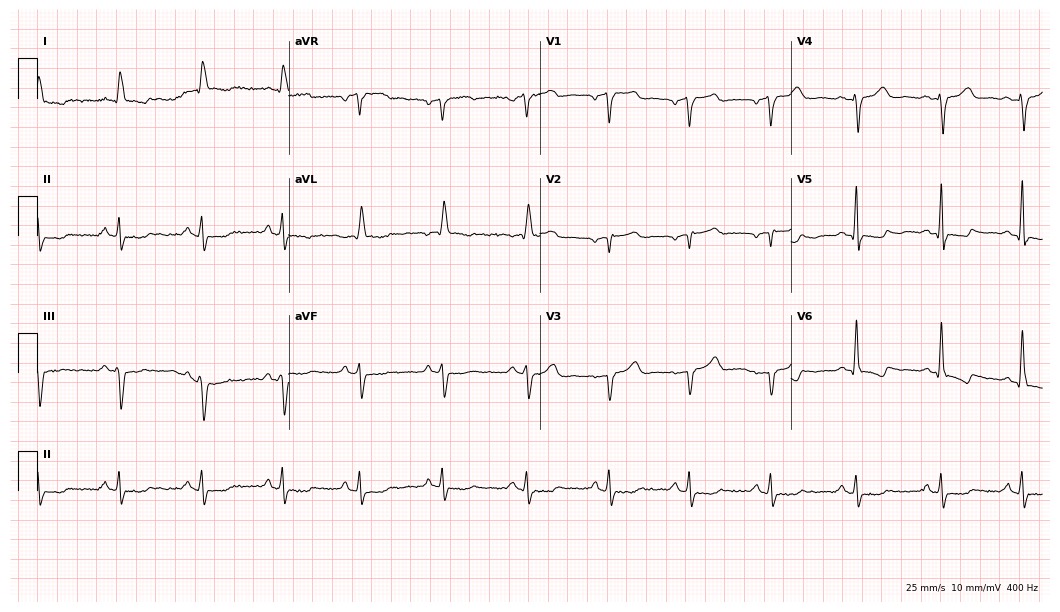
12-lead ECG (10.2-second recording at 400 Hz) from a male patient, 80 years old. Screened for six findings — first-degree AV block, right bundle branch block, left bundle branch block, sinus bradycardia, atrial fibrillation, sinus tachycardia — none is recorded. Findings outside these six are not listed.